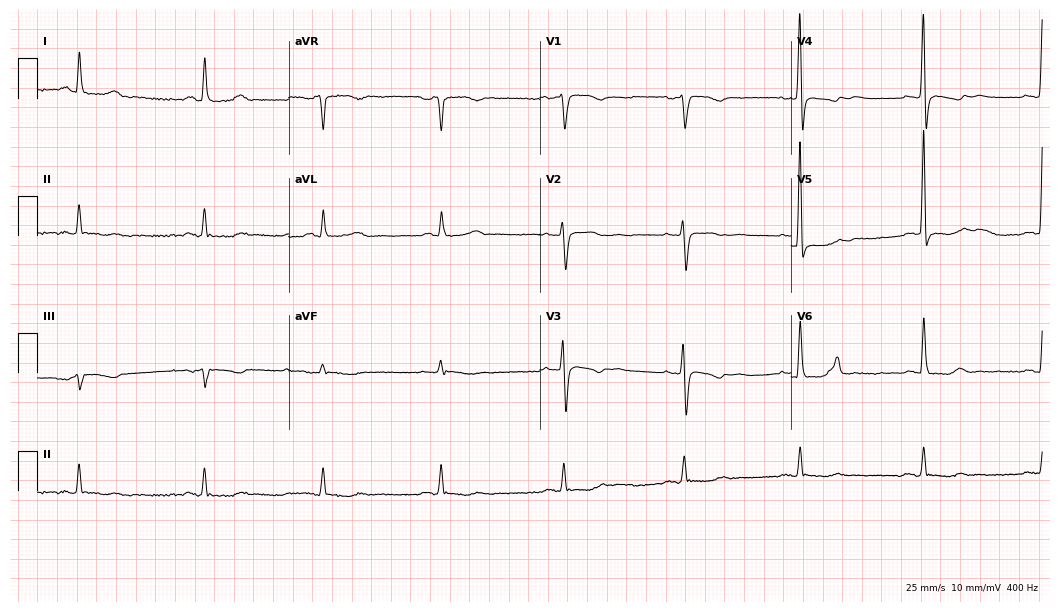
Resting 12-lead electrocardiogram. Patient: a woman, 70 years old. None of these six findings is recorded: first-degree AV block, right bundle branch block (RBBB), left bundle branch block (LBBB), sinus bradycardia, atrial fibrillation (AF), sinus tachycardia. Only these six findings were labelled.